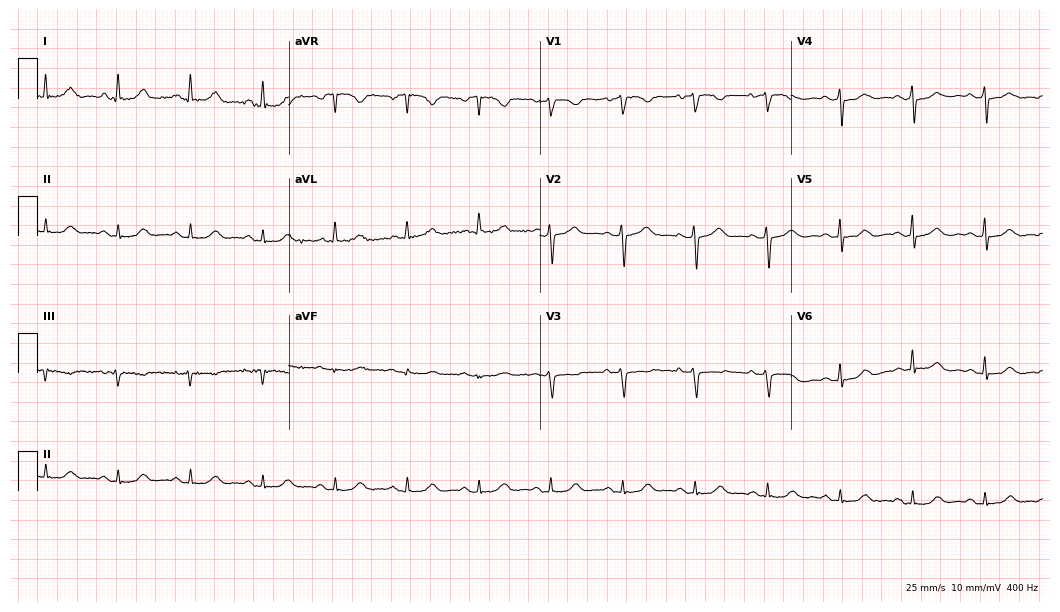
Standard 12-lead ECG recorded from a woman, 81 years old. Read as a normal ECG.